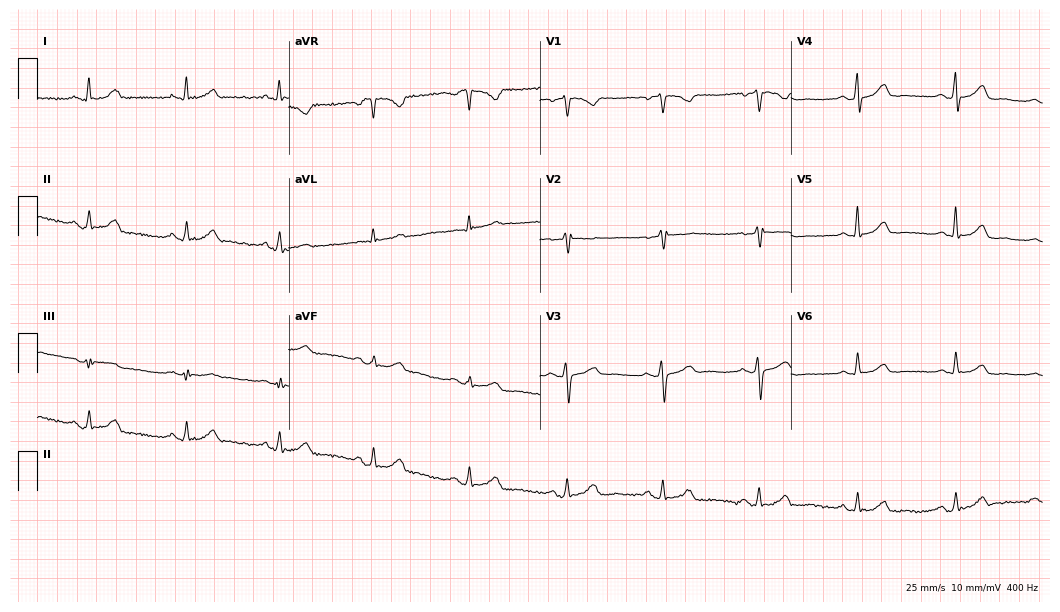
Resting 12-lead electrocardiogram (10.2-second recording at 400 Hz). Patient: a 52-year-old female. Read as a normal ECG.